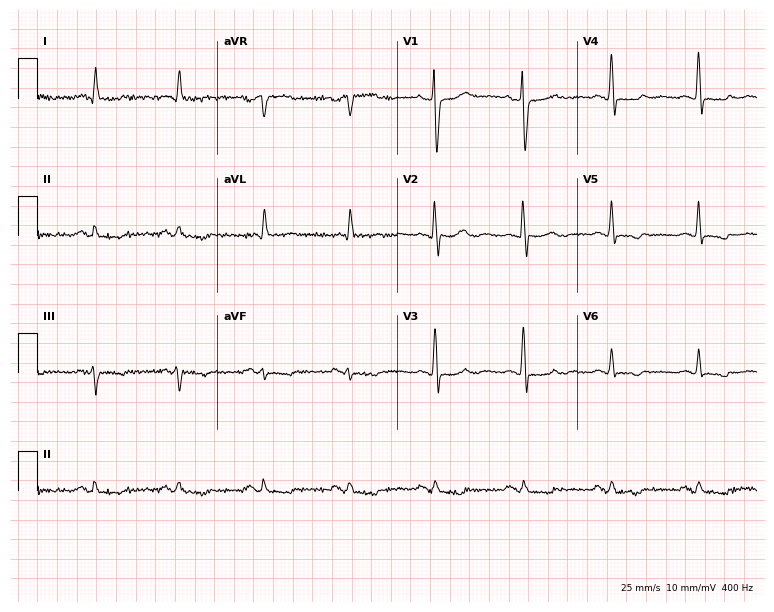
Standard 12-lead ECG recorded from a woman, 67 years old (7.3-second recording at 400 Hz). None of these six findings is recorded: first-degree AV block, right bundle branch block, left bundle branch block, sinus bradycardia, atrial fibrillation, sinus tachycardia. Only these six findings were labelled.